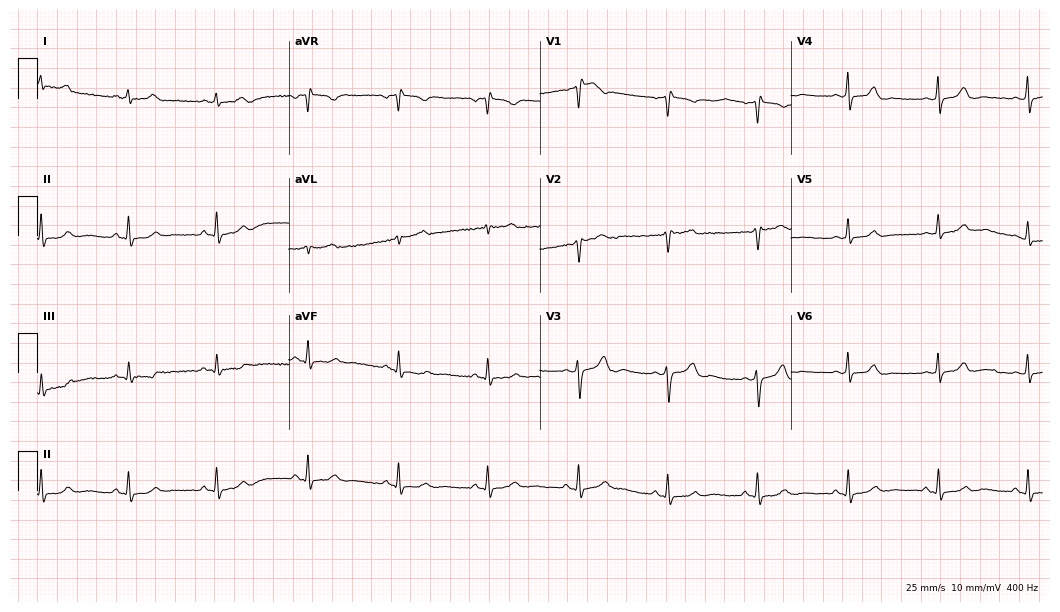
Resting 12-lead electrocardiogram (10.2-second recording at 400 Hz). Patient: a woman, 47 years old. None of these six findings is recorded: first-degree AV block, right bundle branch block (RBBB), left bundle branch block (LBBB), sinus bradycardia, atrial fibrillation (AF), sinus tachycardia.